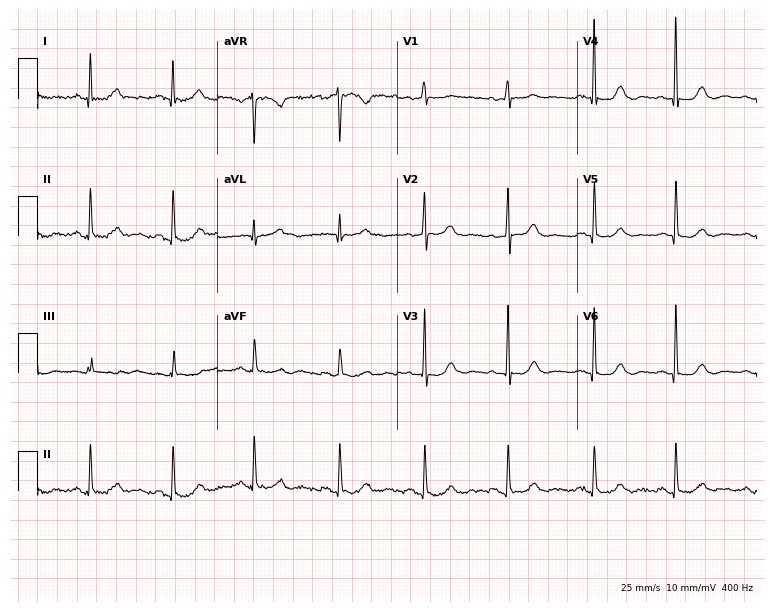
12-lead ECG (7.3-second recording at 400 Hz) from a woman, 60 years old. Labelled as a normal ECG.